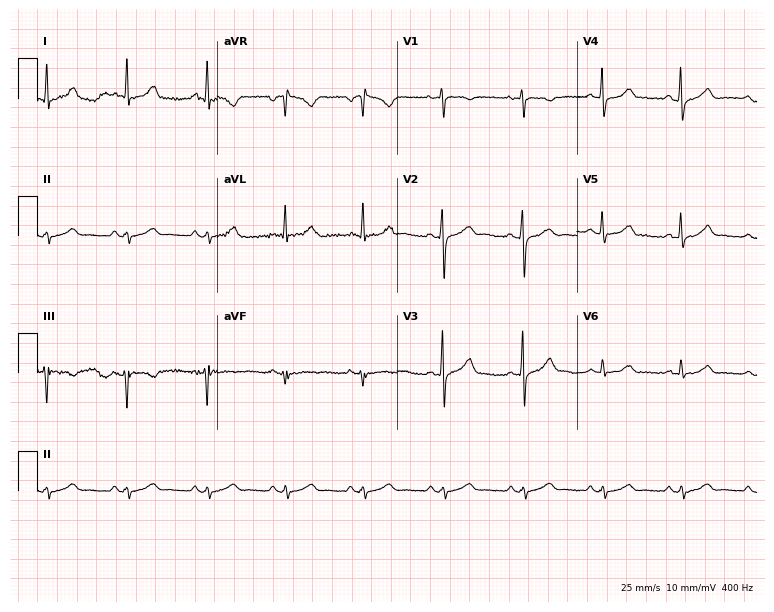
Resting 12-lead electrocardiogram. Patient: a 46-year-old male. Read as a normal ECG.